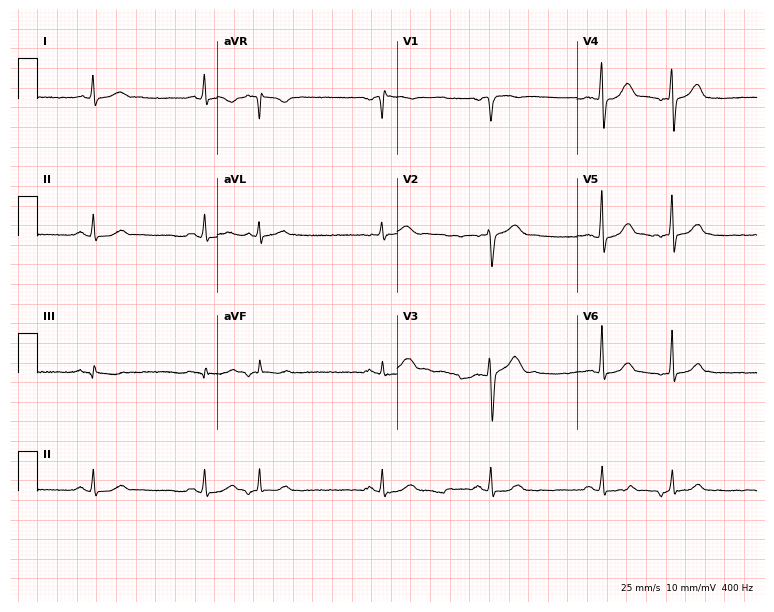
12-lead ECG (7.3-second recording at 400 Hz) from a man, 52 years old. Screened for six findings — first-degree AV block, right bundle branch block (RBBB), left bundle branch block (LBBB), sinus bradycardia, atrial fibrillation (AF), sinus tachycardia — none is recorded. Findings outside these six are not listed.